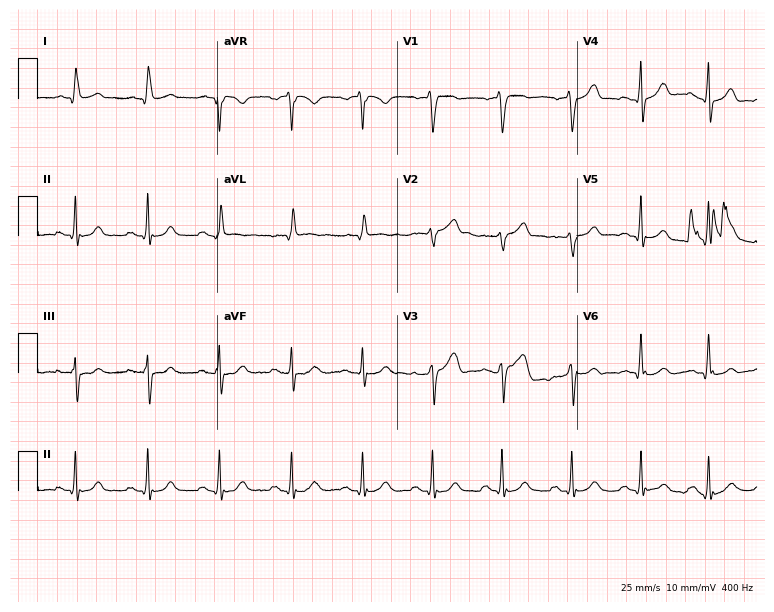
Standard 12-lead ECG recorded from a male patient, 47 years old (7.3-second recording at 400 Hz). None of these six findings is recorded: first-degree AV block, right bundle branch block, left bundle branch block, sinus bradycardia, atrial fibrillation, sinus tachycardia. Other findings, if any, are not listed.